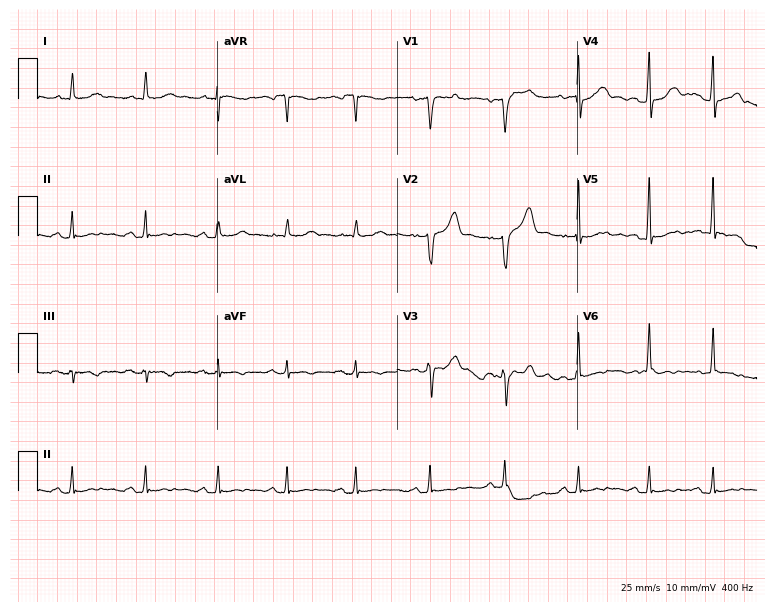
Resting 12-lead electrocardiogram. Patient: a 69-year-old male. None of these six findings is recorded: first-degree AV block, right bundle branch block, left bundle branch block, sinus bradycardia, atrial fibrillation, sinus tachycardia. Other findings, if any, are not listed.